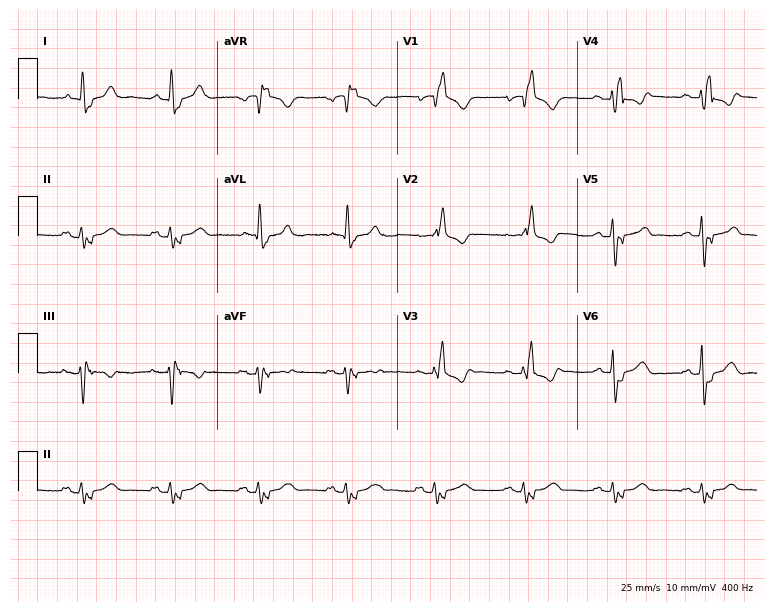
ECG — a 66-year-old man. Findings include right bundle branch block.